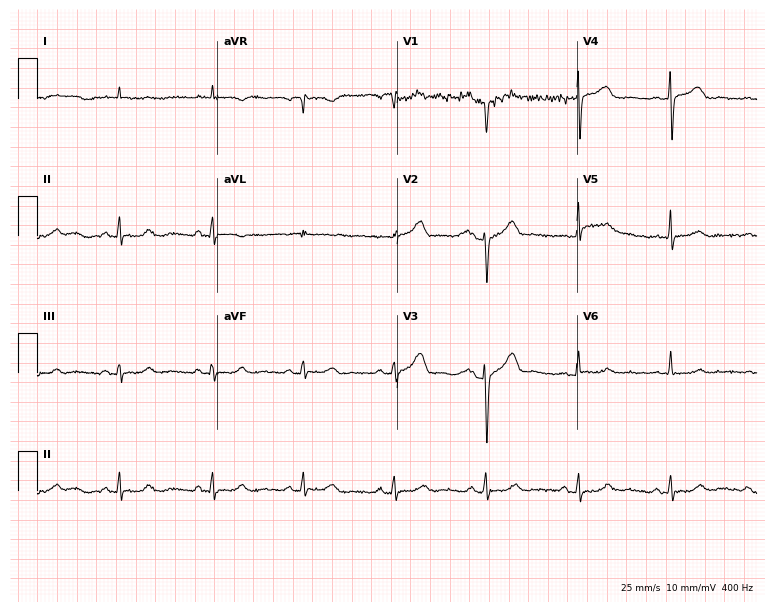
12-lead ECG from a male patient, 66 years old. Recorded interpretation: within normal limits.